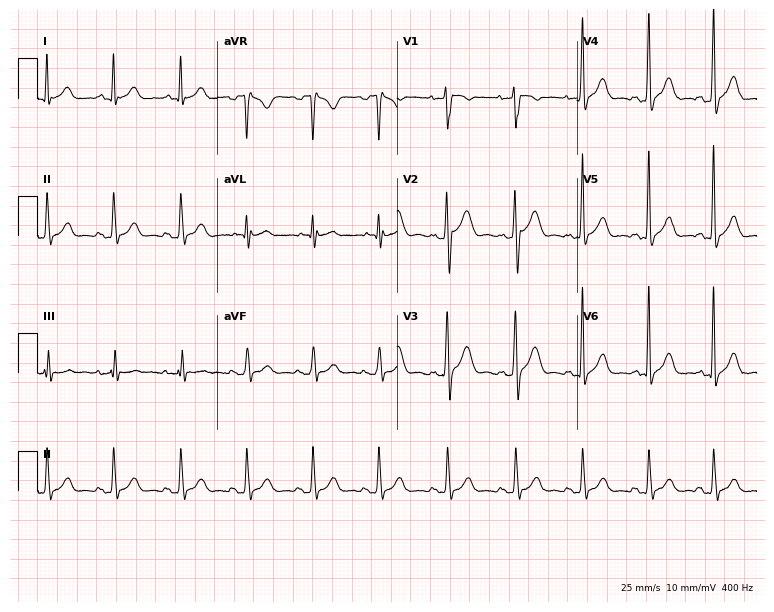
Resting 12-lead electrocardiogram. Patient: a male, 35 years old. Read as a normal ECG.